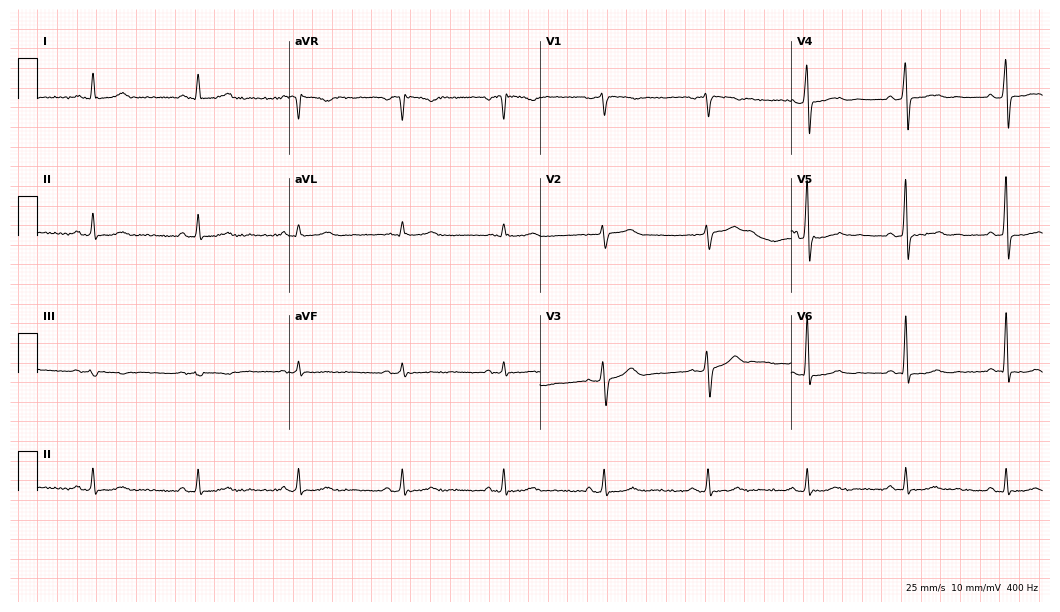
12-lead ECG (10.2-second recording at 400 Hz) from a 63-year-old male. Labelled as a normal ECG.